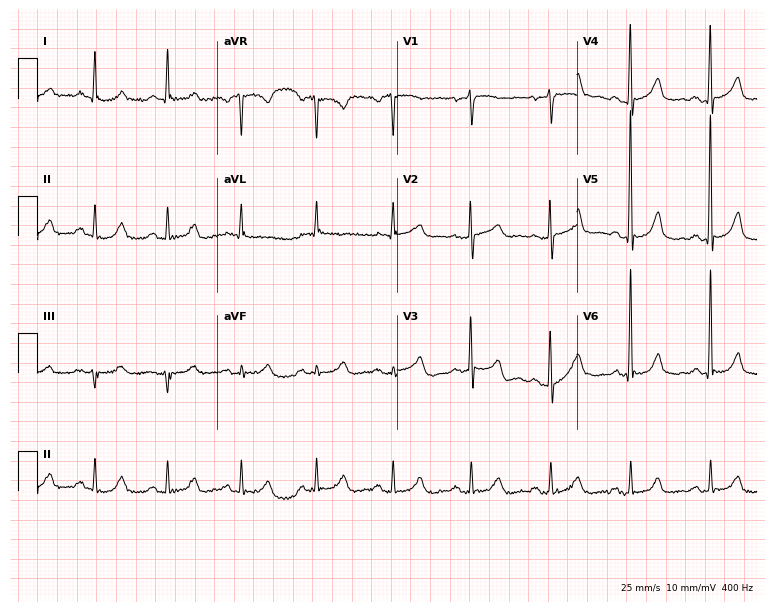
ECG (7.3-second recording at 400 Hz) — a 78-year-old male patient. Screened for six findings — first-degree AV block, right bundle branch block, left bundle branch block, sinus bradycardia, atrial fibrillation, sinus tachycardia — none is recorded. Findings outside these six are not listed.